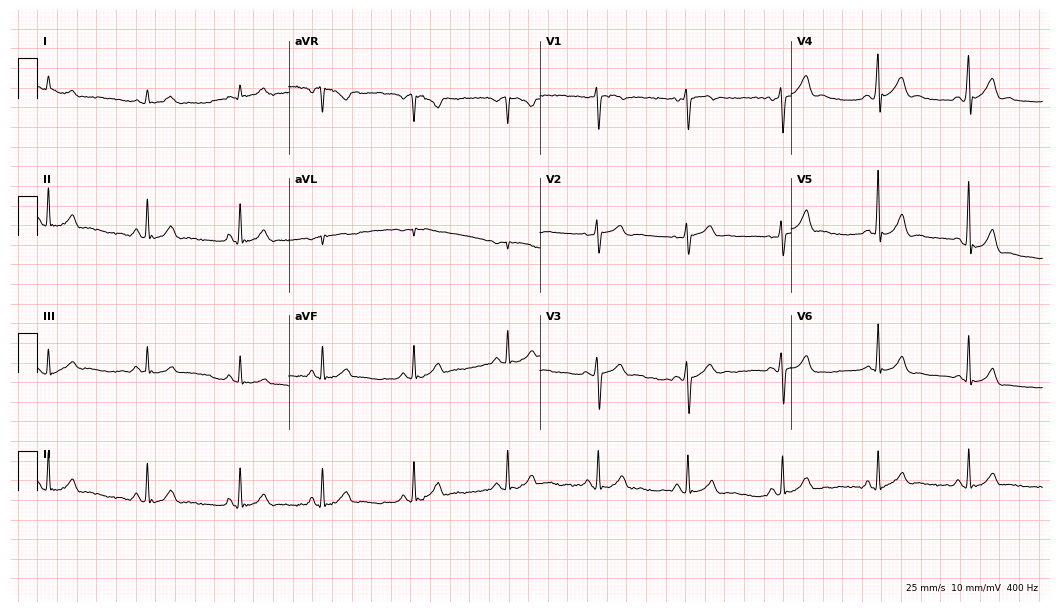
Standard 12-lead ECG recorded from a man, 20 years old (10.2-second recording at 400 Hz). Read as a normal ECG.